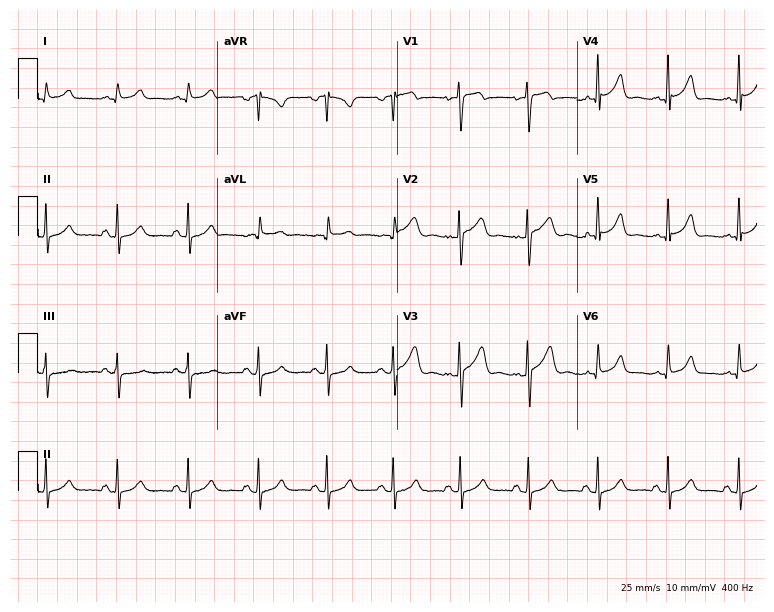
Resting 12-lead electrocardiogram. Patient: a male, 24 years old. None of these six findings is recorded: first-degree AV block, right bundle branch block (RBBB), left bundle branch block (LBBB), sinus bradycardia, atrial fibrillation (AF), sinus tachycardia. Findings outside these six are not listed.